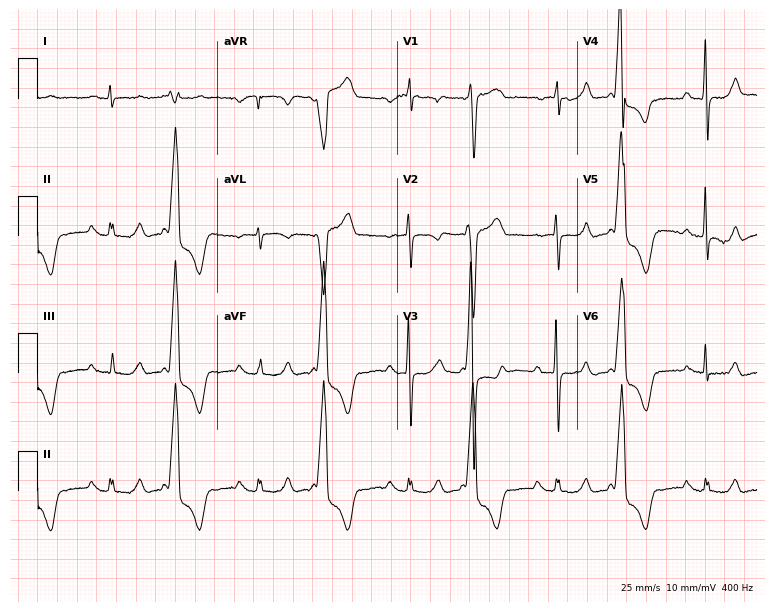
Electrocardiogram (7.3-second recording at 400 Hz), a 76-year-old male patient. Of the six screened findings (first-degree AV block, right bundle branch block, left bundle branch block, sinus bradycardia, atrial fibrillation, sinus tachycardia), none is recorded. Findings outside these six are not listed.